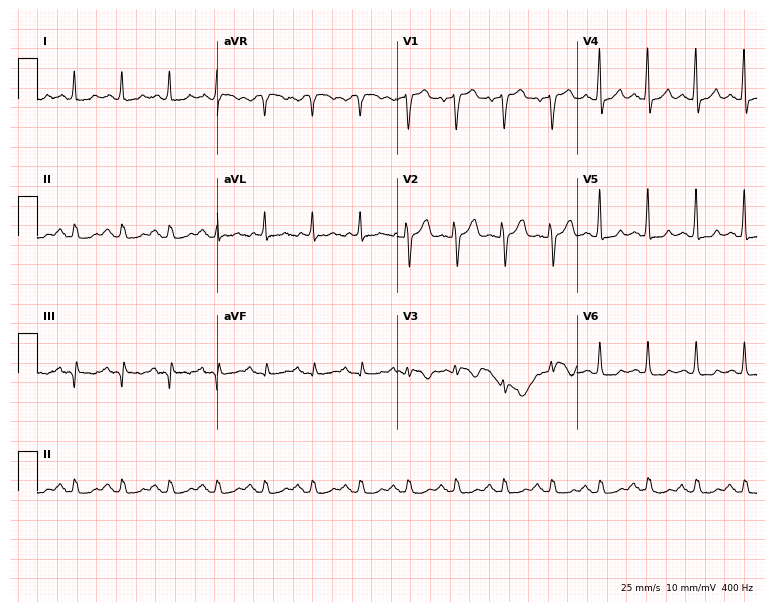
Standard 12-lead ECG recorded from an 80-year-old man (7.3-second recording at 400 Hz). The tracing shows sinus tachycardia (a sinus rate of 100 beats per minute or more).